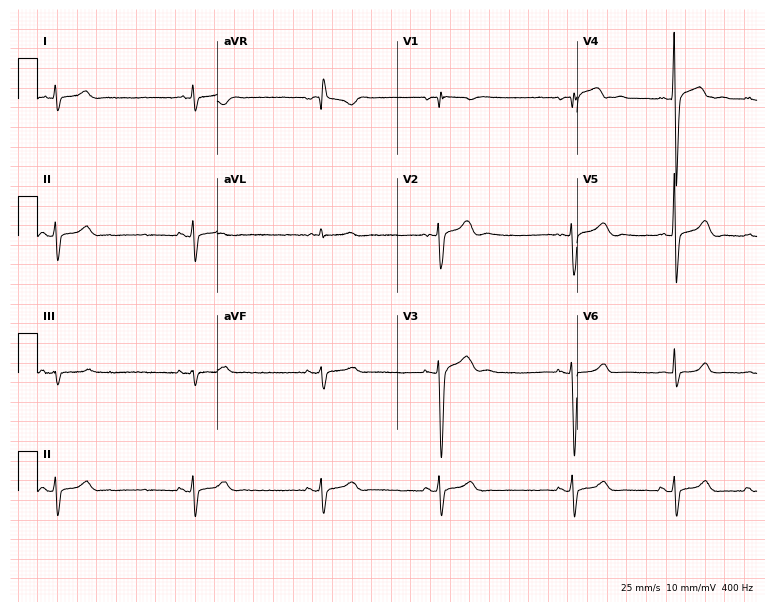
Resting 12-lead electrocardiogram (7.3-second recording at 400 Hz). Patient: a male, 18 years old. None of these six findings is recorded: first-degree AV block, right bundle branch block, left bundle branch block, sinus bradycardia, atrial fibrillation, sinus tachycardia. Only these six findings were labelled.